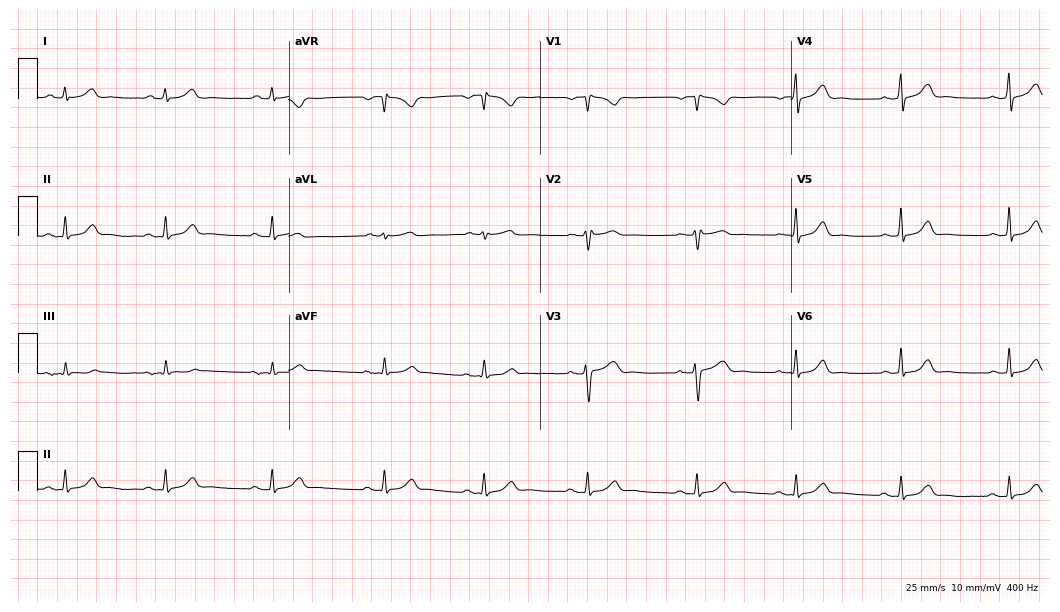
12-lead ECG from a 33-year-old woman. Recorded interpretation: within normal limits.